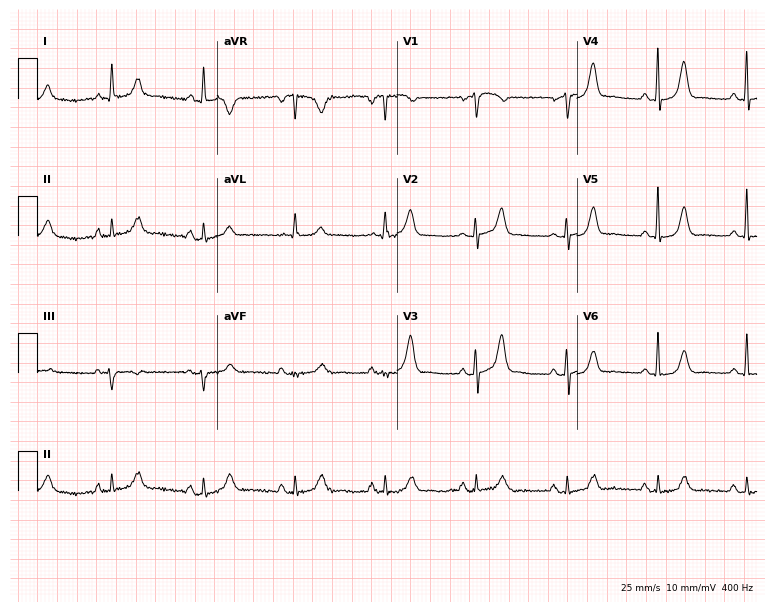
Electrocardiogram (7.3-second recording at 400 Hz), a 66-year-old female patient. Of the six screened findings (first-degree AV block, right bundle branch block (RBBB), left bundle branch block (LBBB), sinus bradycardia, atrial fibrillation (AF), sinus tachycardia), none is recorded.